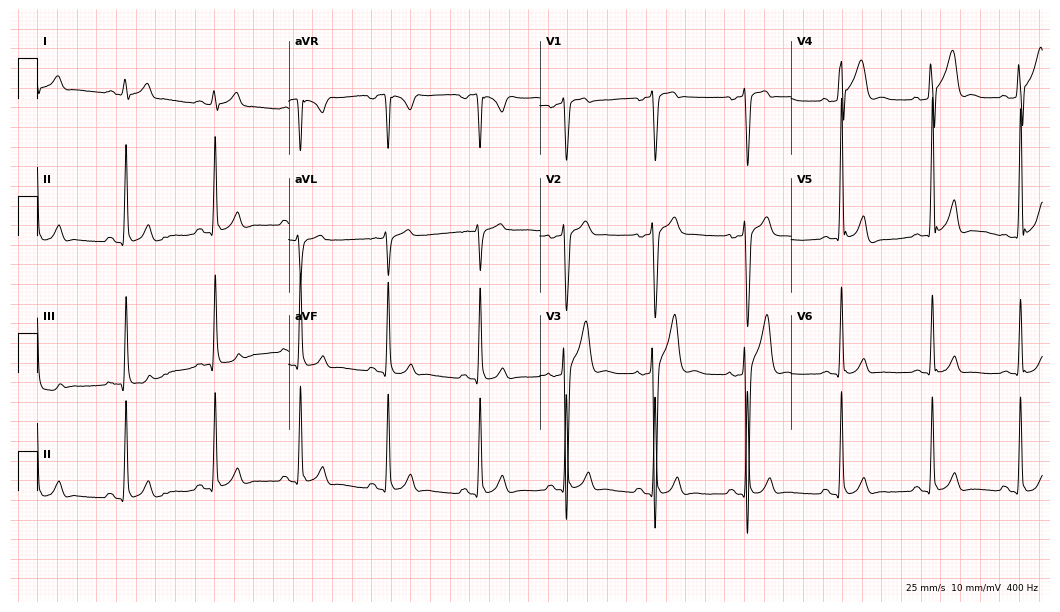
12-lead ECG from an 18-year-old man. Screened for six findings — first-degree AV block, right bundle branch block (RBBB), left bundle branch block (LBBB), sinus bradycardia, atrial fibrillation (AF), sinus tachycardia — none is recorded.